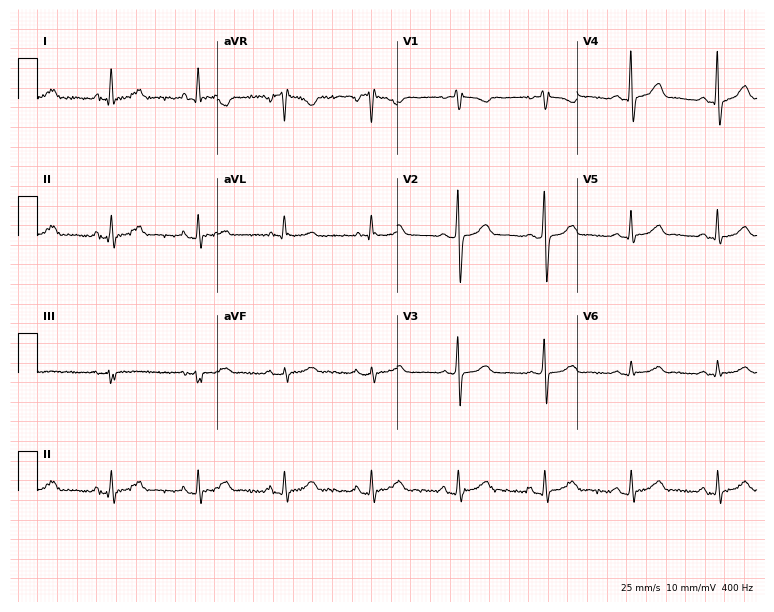
12-lead ECG from a 72-year-old female (7.3-second recording at 400 Hz). No first-degree AV block, right bundle branch block, left bundle branch block, sinus bradycardia, atrial fibrillation or sinus tachycardia recorded for this tracing. Findings outside these six are not listed.